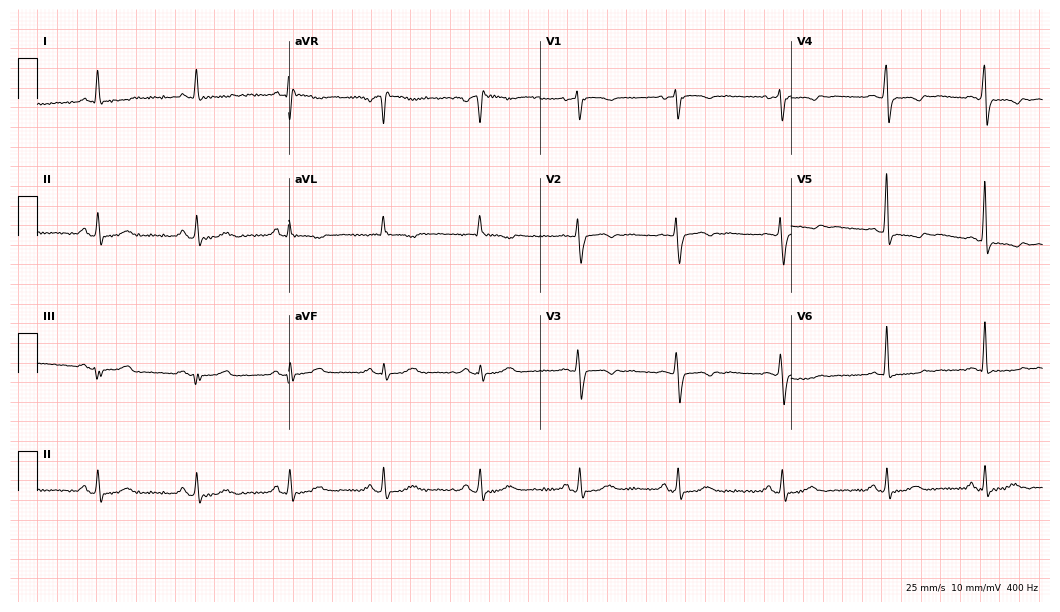
12-lead ECG from a 58-year-old female patient (10.2-second recording at 400 Hz). No first-degree AV block, right bundle branch block, left bundle branch block, sinus bradycardia, atrial fibrillation or sinus tachycardia recorded for this tracing. Other findings, if any, are not listed.